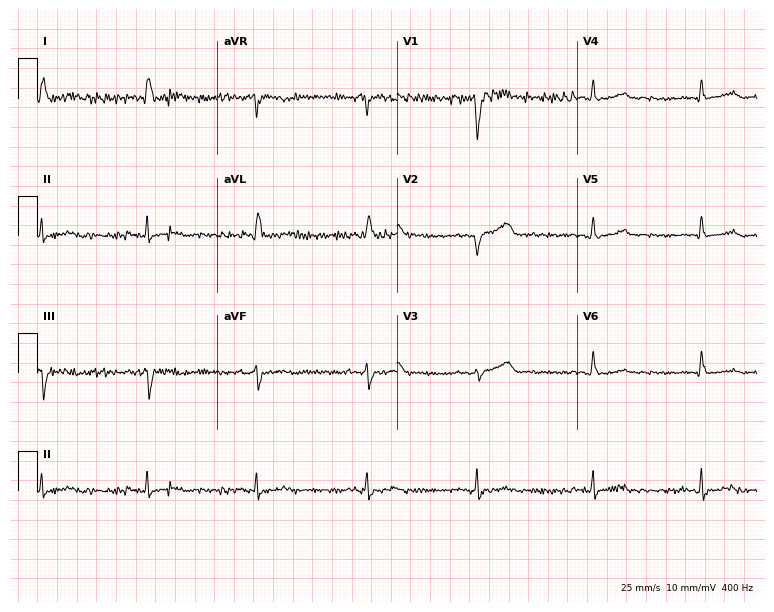
Standard 12-lead ECG recorded from a male, 56 years old. None of these six findings is recorded: first-degree AV block, right bundle branch block (RBBB), left bundle branch block (LBBB), sinus bradycardia, atrial fibrillation (AF), sinus tachycardia.